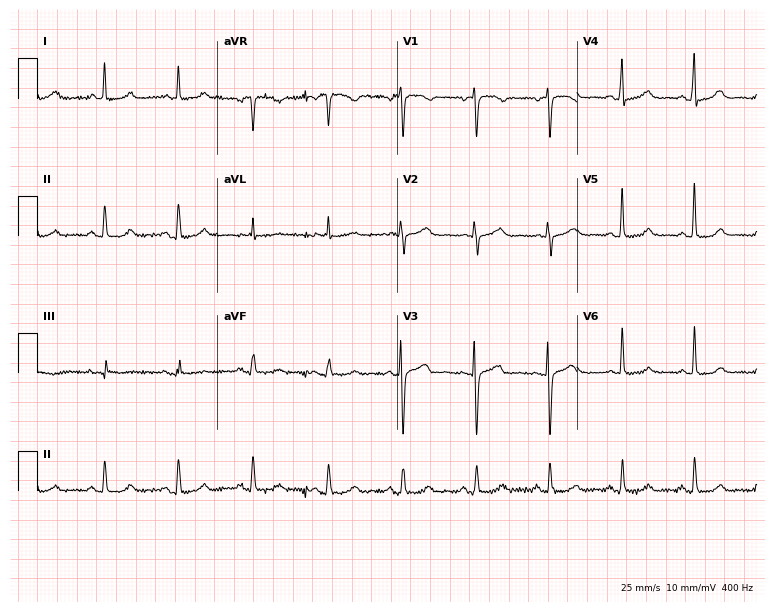
Electrocardiogram, a female patient, 83 years old. Overall reading on record: normal ECG.